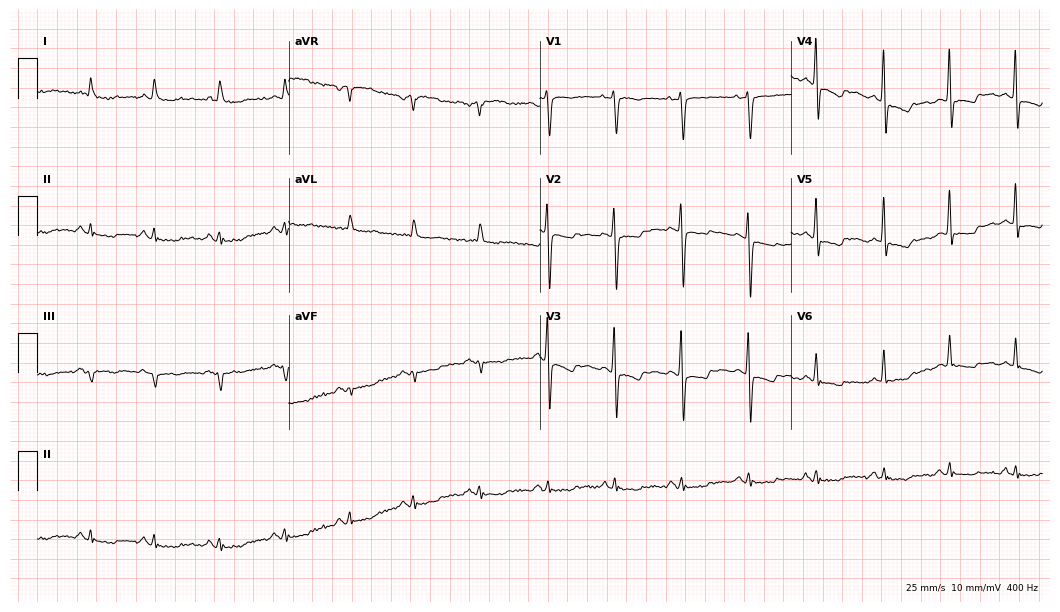
Resting 12-lead electrocardiogram (10.2-second recording at 400 Hz). Patient: a 73-year-old man. None of these six findings is recorded: first-degree AV block, right bundle branch block, left bundle branch block, sinus bradycardia, atrial fibrillation, sinus tachycardia. Findings outside these six are not listed.